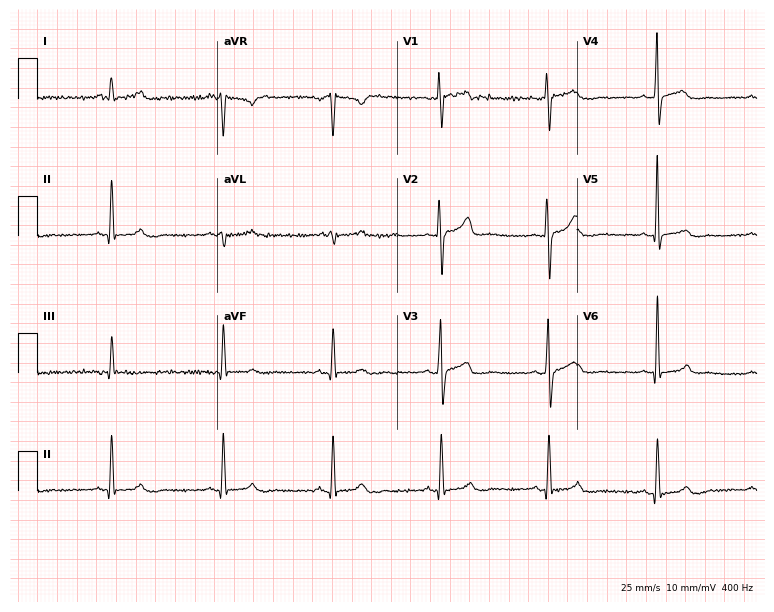
Resting 12-lead electrocardiogram. Patient: a 47-year-old male. None of these six findings is recorded: first-degree AV block, right bundle branch block, left bundle branch block, sinus bradycardia, atrial fibrillation, sinus tachycardia.